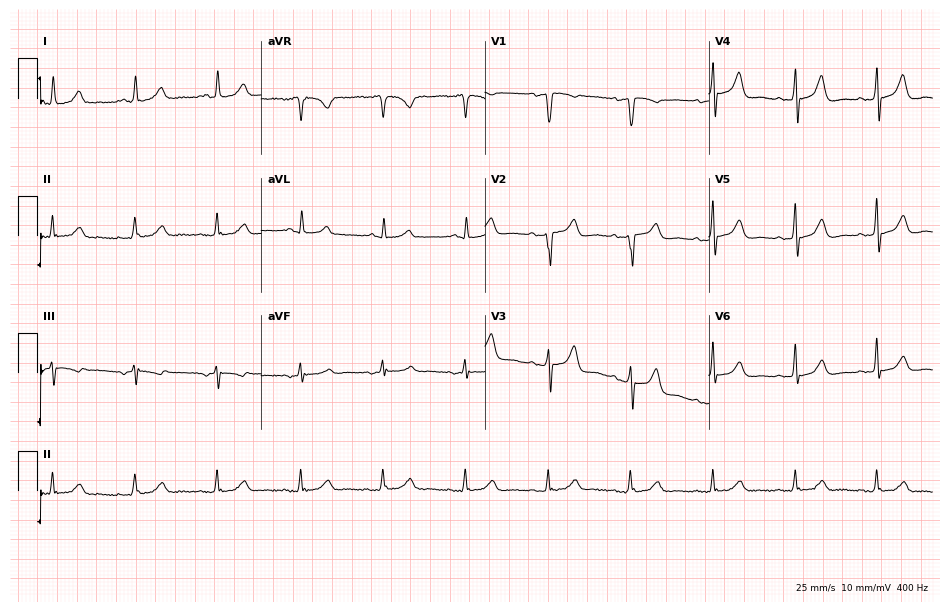
Resting 12-lead electrocardiogram. Patient: a female, 62 years old. Read as a normal ECG.